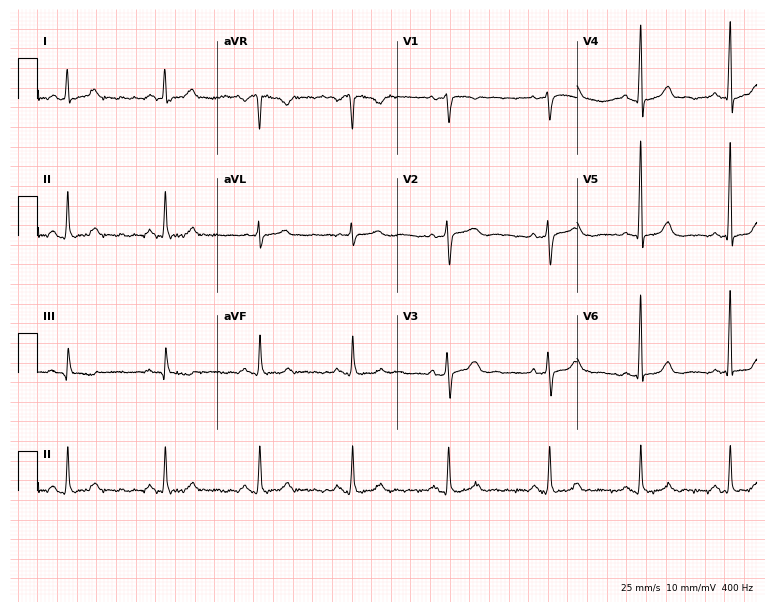
Standard 12-lead ECG recorded from a 47-year-old woman (7.3-second recording at 400 Hz). Read as a normal ECG.